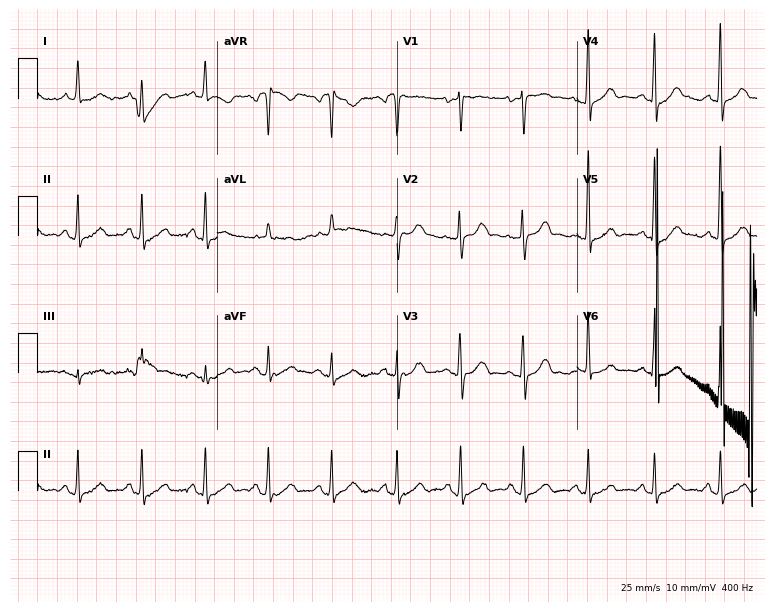
12-lead ECG from a female patient, 67 years old. Labelled as a normal ECG.